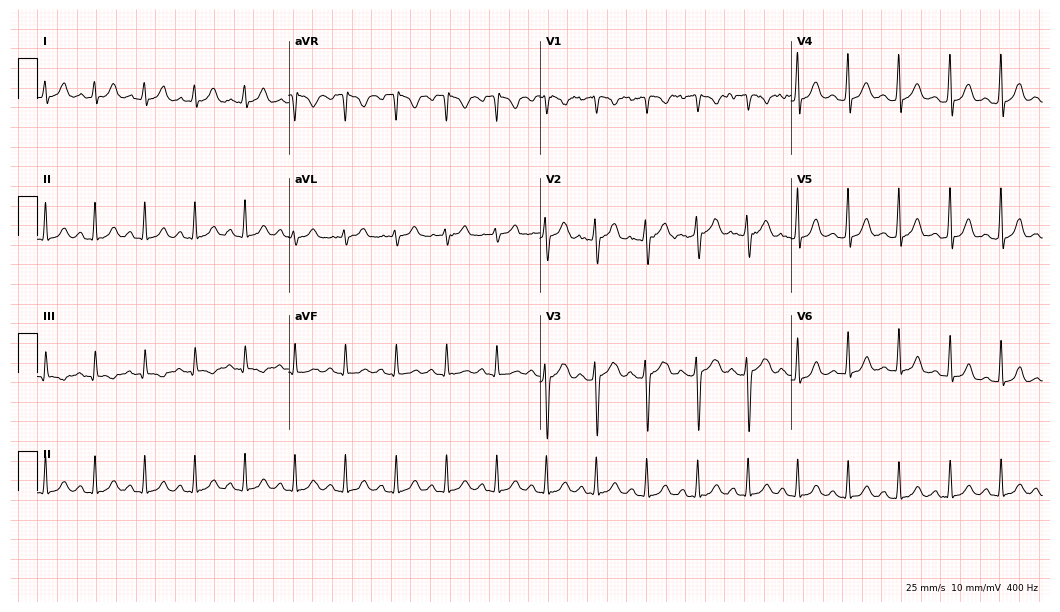
12-lead ECG from an 18-year-old woman (10.2-second recording at 400 Hz). Shows sinus tachycardia (a sinus rate of 100 beats per minute or more).